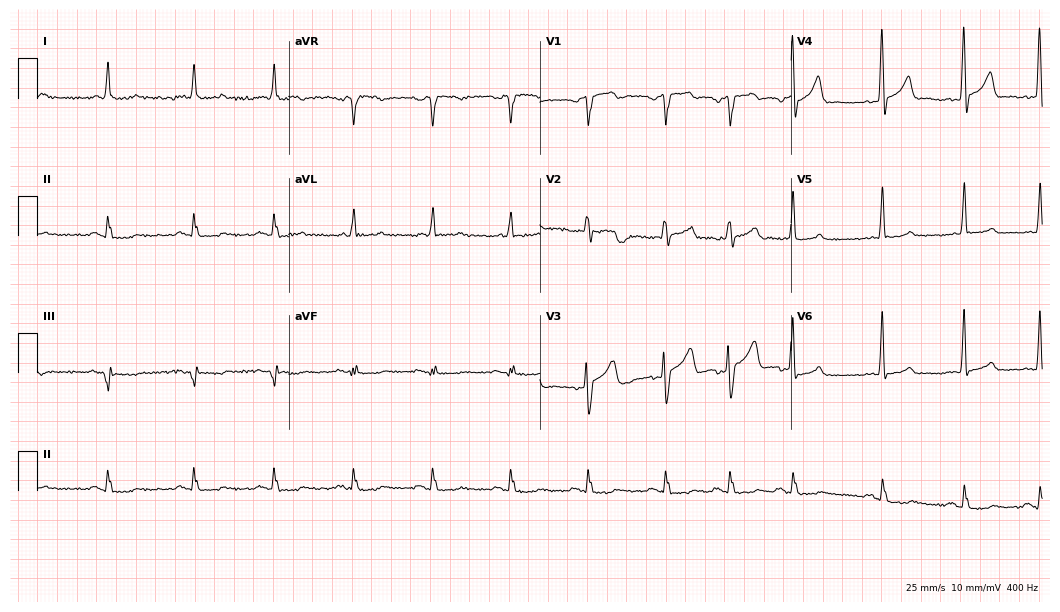
ECG (10.2-second recording at 400 Hz) — a male, 71 years old. Labelled as a normal ECG.